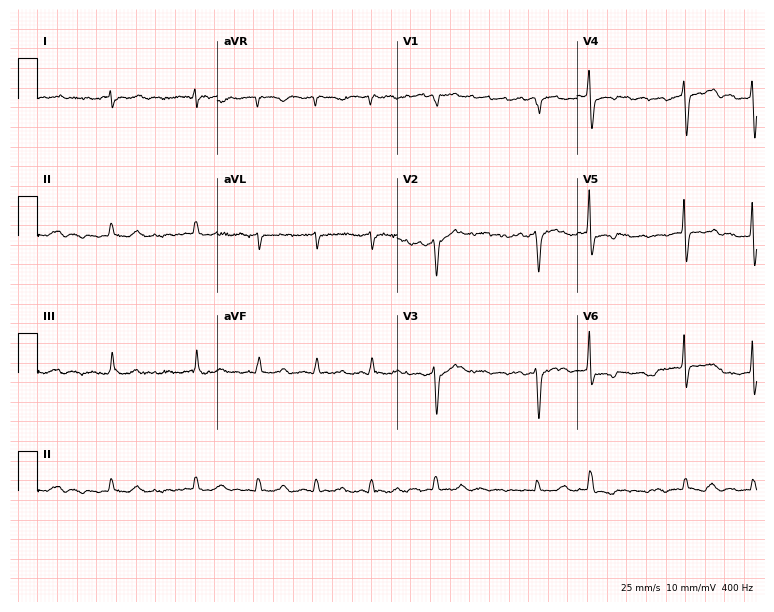
12-lead ECG from a male, 66 years old. Findings include atrial fibrillation.